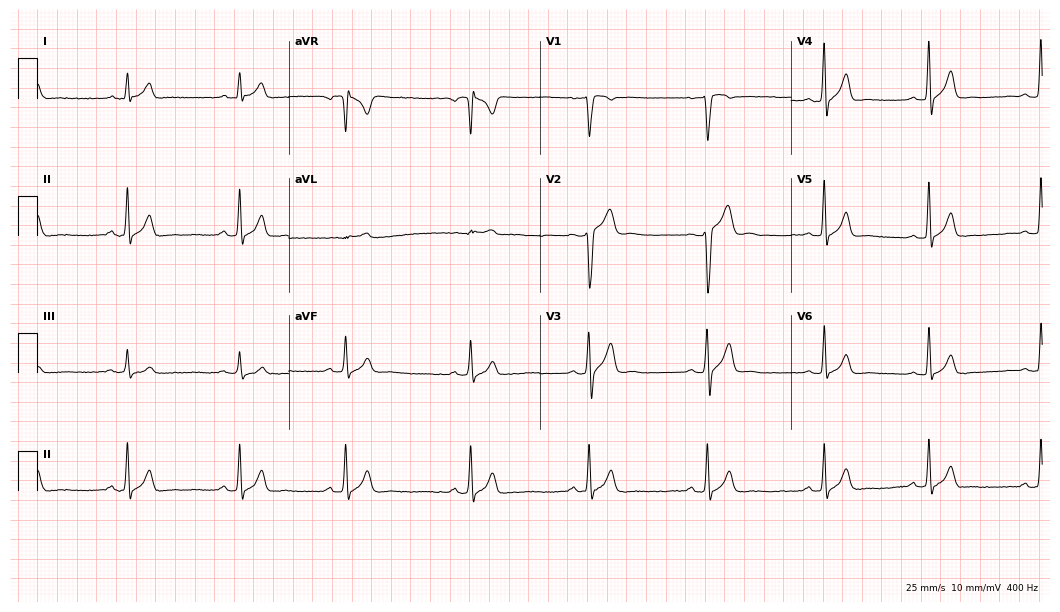
12-lead ECG from a male patient, 34 years old (10.2-second recording at 400 Hz). No first-degree AV block, right bundle branch block (RBBB), left bundle branch block (LBBB), sinus bradycardia, atrial fibrillation (AF) or sinus tachycardia recorded for this tracing. Other findings, if any, are not listed.